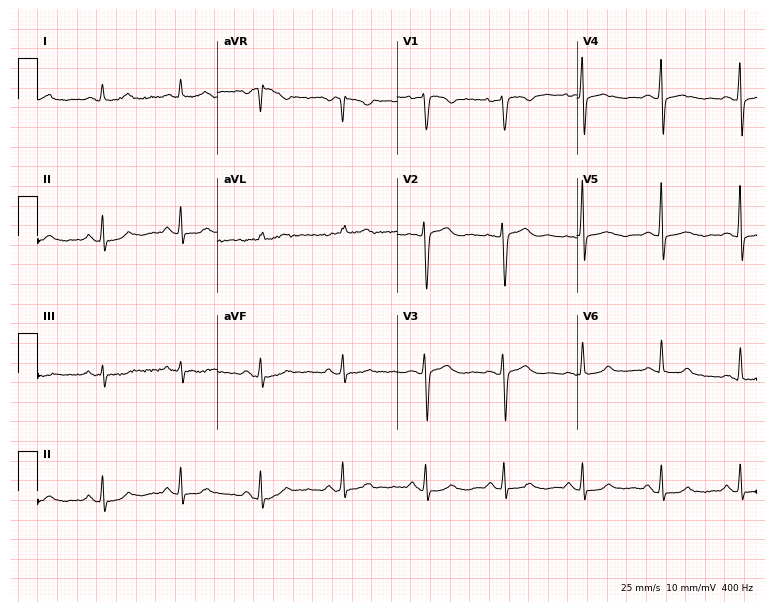
Electrocardiogram (7.3-second recording at 400 Hz), a female, 38 years old. Of the six screened findings (first-degree AV block, right bundle branch block, left bundle branch block, sinus bradycardia, atrial fibrillation, sinus tachycardia), none is recorded. Findings outside these six are not listed.